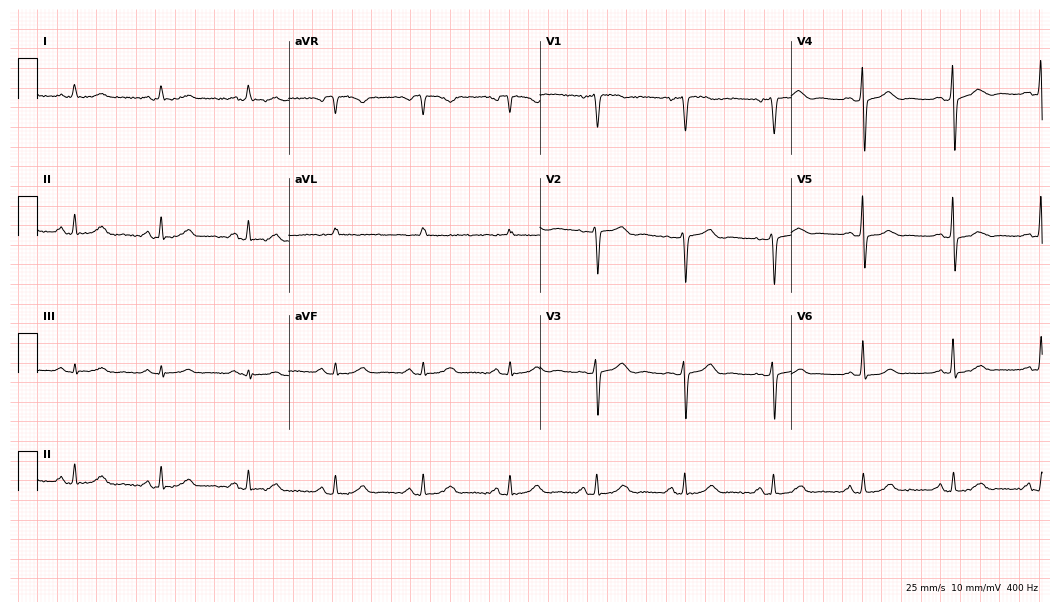
Resting 12-lead electrocardiogram (10.2-second recording at 400 Hz). Patient: a female, 65 years old. Read as a normal ECG.